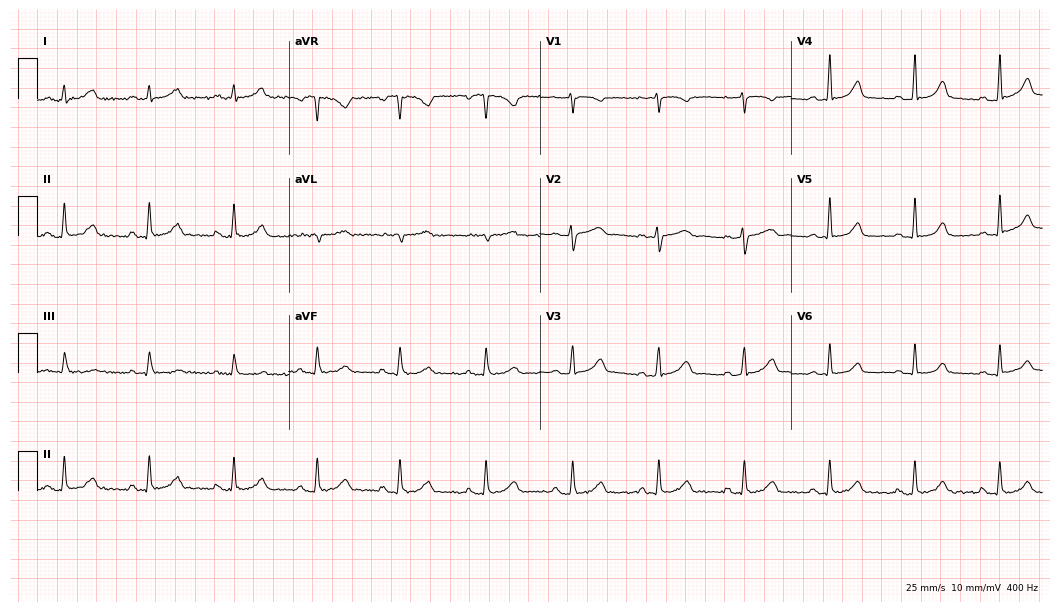
12-lead ECG (10.2-second recording at 400 Hz) from a female, 49 years old. Labelled as a normal ECG.